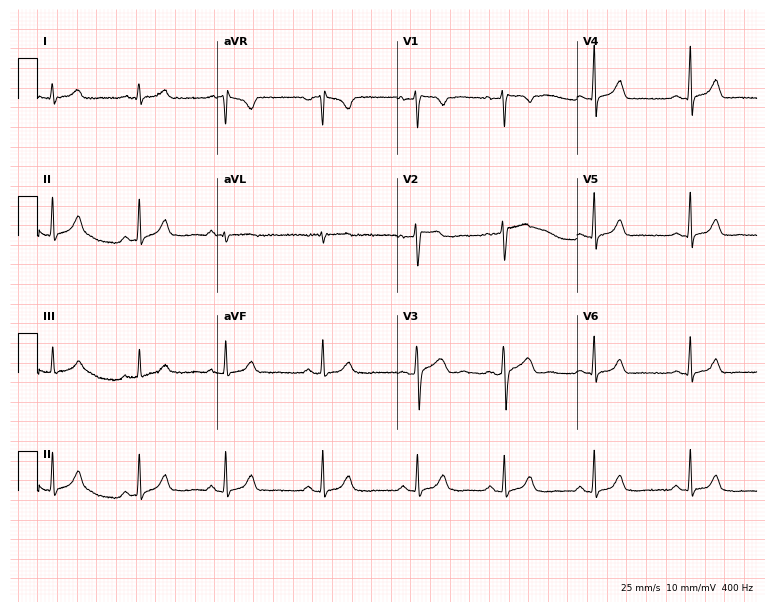
Resting 12-lead electrocardiogram (7.3-second recording at 400 Hz). Patient: a 28-year-old female. Read as a normal ECG.